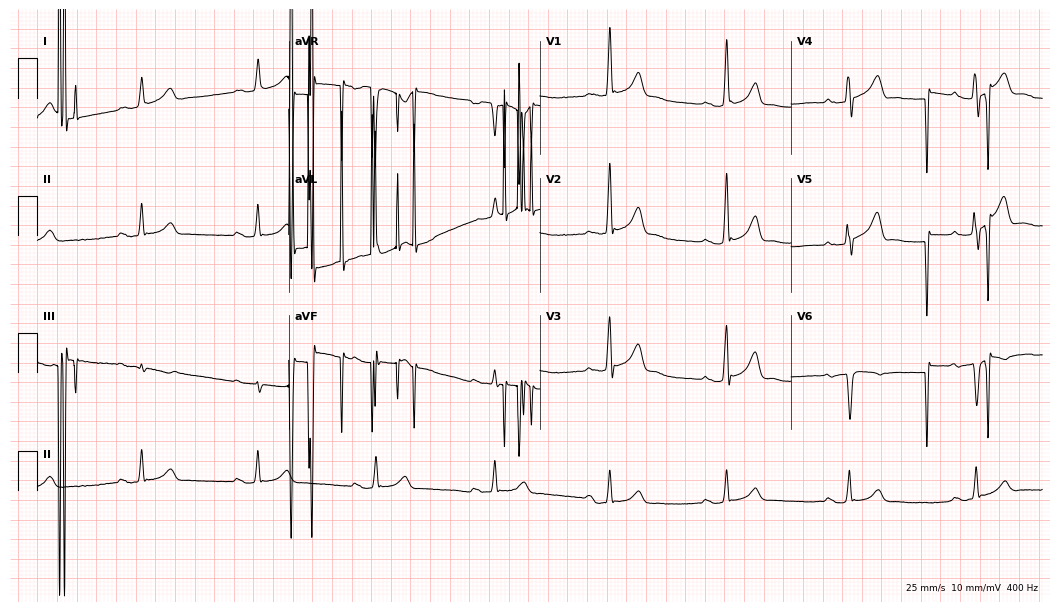
ECG (10.2-second recording at 400 Hz) — a 33-year-old male. Findings include sinus bradycardia (a sinus rate of 50 beats per minute or less), atrial fibrillation.